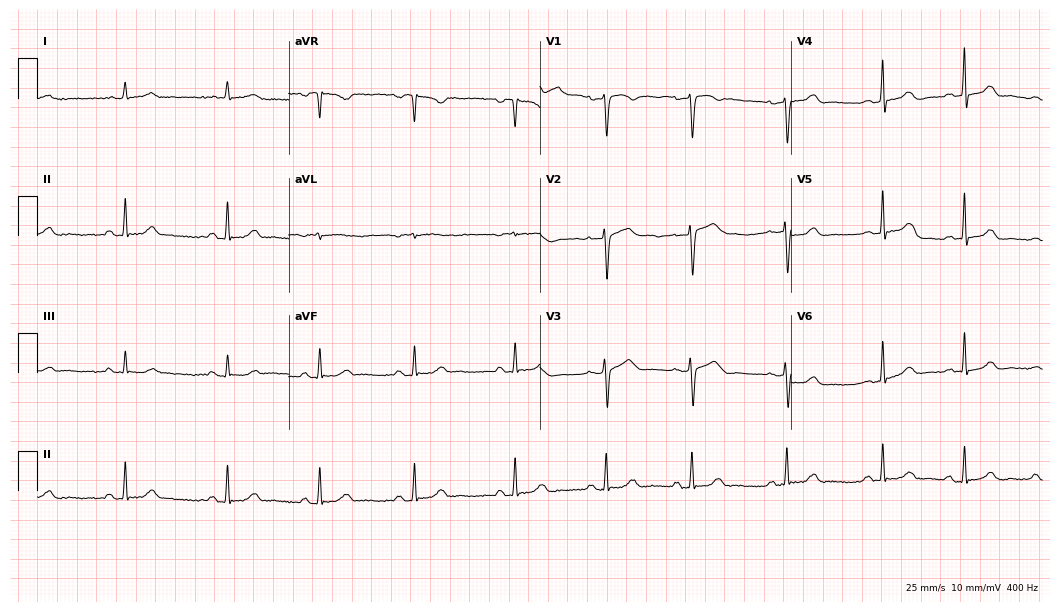
Electrocardiogram, a female patient, 62 years old. Overall reading on record: normal ECG.